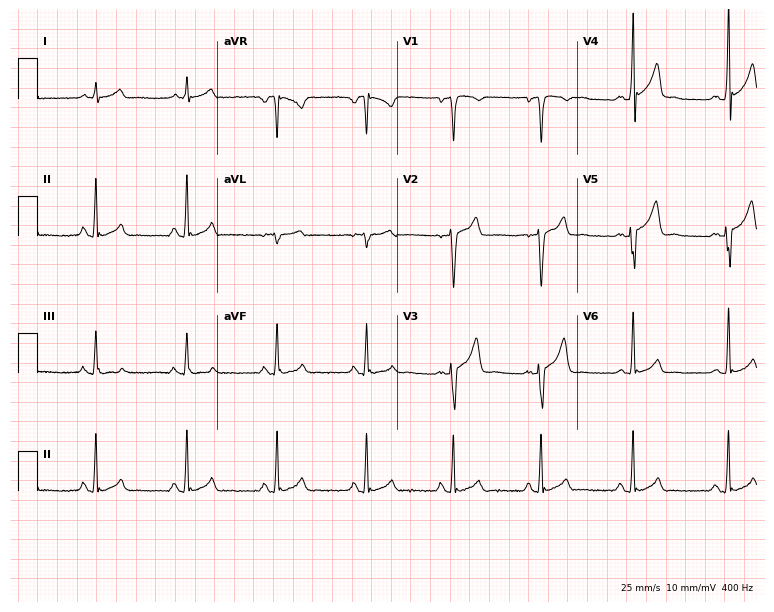
12-lead ECG from a male, 33 years old. Screened for six findings — first-degree AV block, right bundle branch block, left bundle branch block, sinus bradycardia, atrial fibrillation, sinus tachycardia — none is recorded.